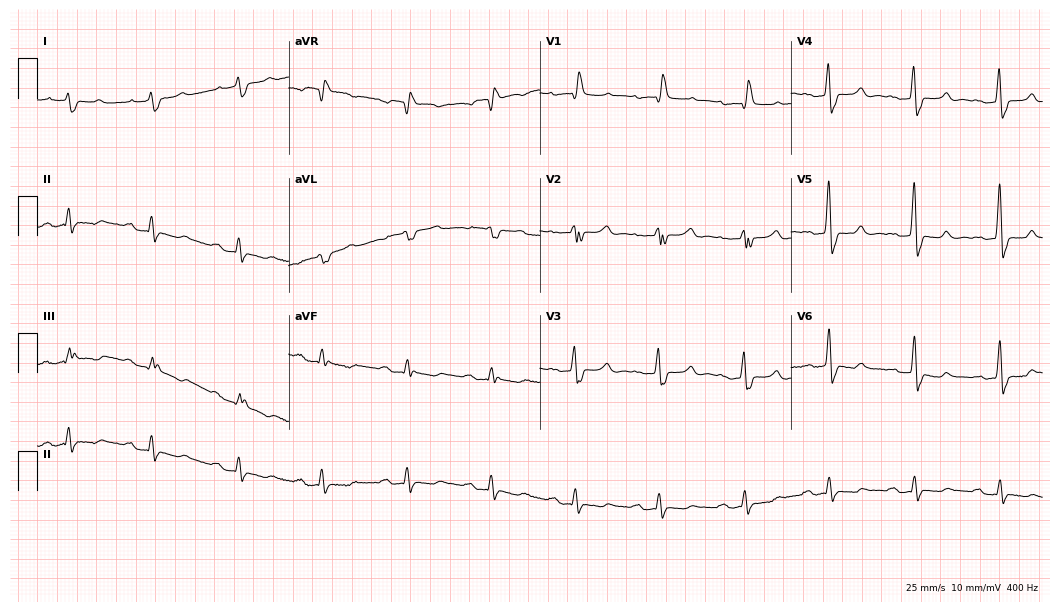
ECG — a man, 86 years old. Findings include first-degree AV block, right bundle branch block.